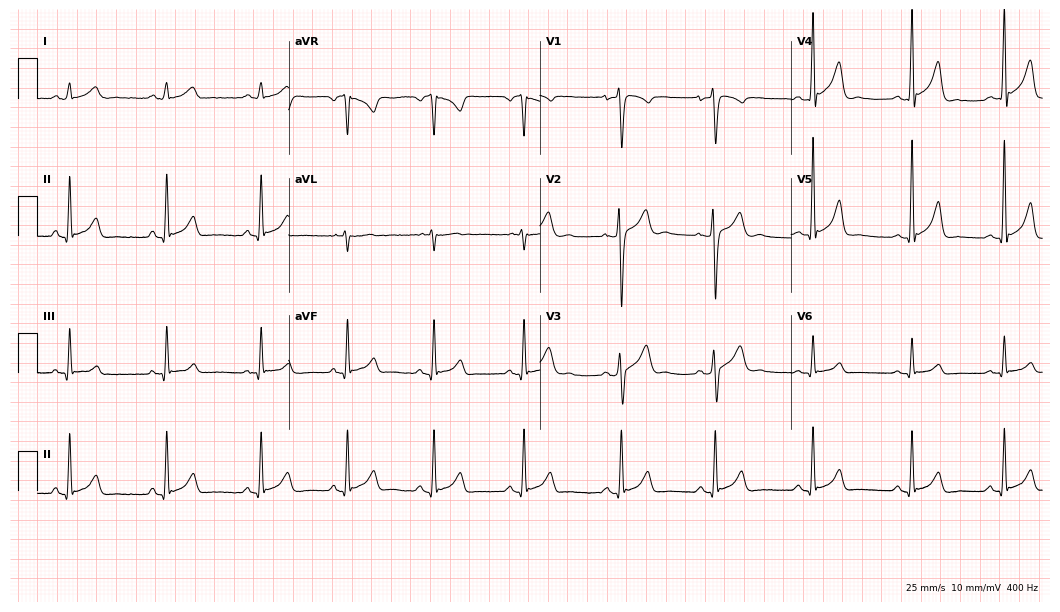
ECG (10.2-second recording at 400 Hz) — a male patient, 23 years old. Screened for six findings — first-degree AV block, right bundle branch block (RBBB), left bundle branch block (LBBB), sinus bradycardia, atrial fibrillation (AF), sinus tachycardia — none is recorded.